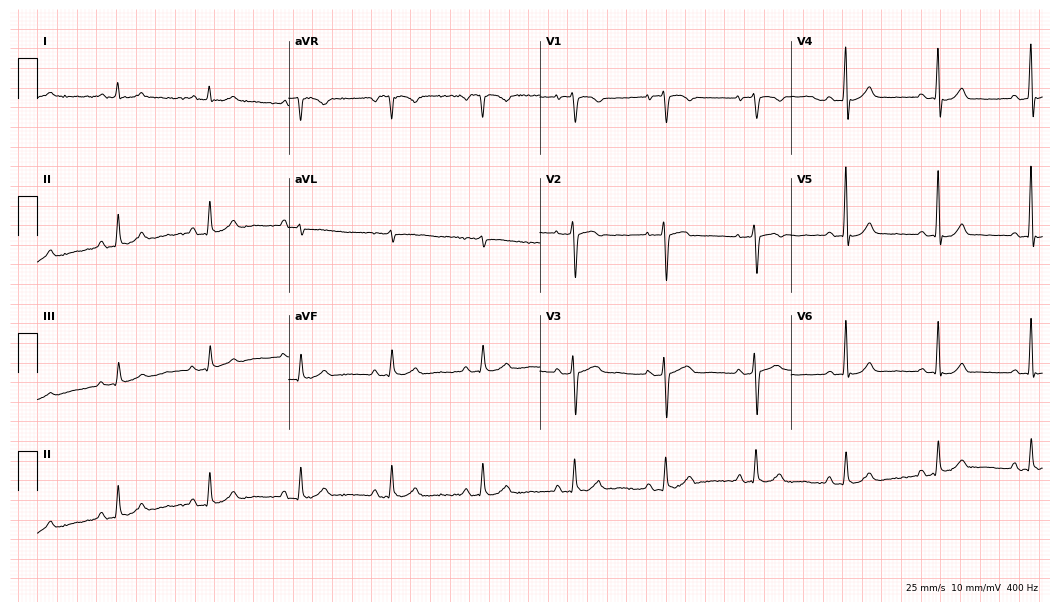
12-lead ECG from a female, 78 years old. Screened for six findings — first-degree AV block, right bundle branch block, left bundle branch block, sinus bradycardia, atrial fibrillation, sinus tachycardia — none is recorded.